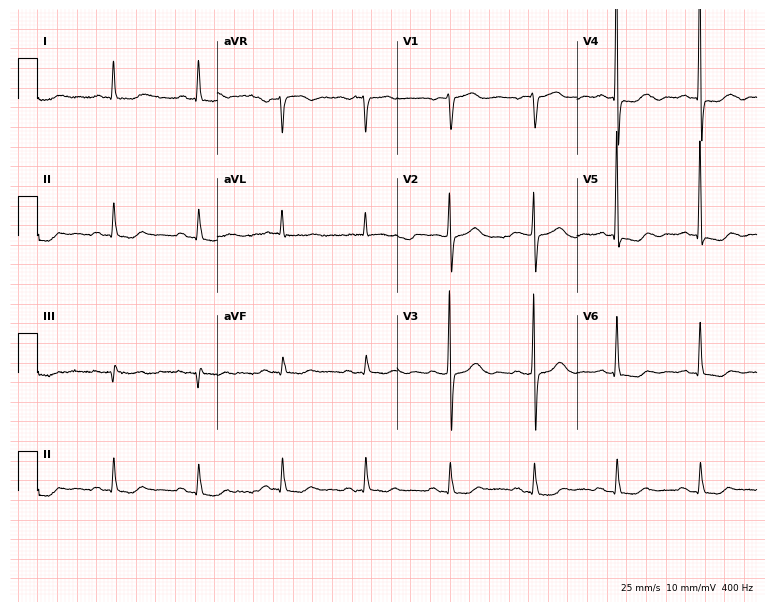
Resting 12-lead electrocardiogram. Patient: a female, 77 years old. None of these six findings is recorded: first-degree AV block, right bundle branch block, left bundle branch block, sinus bradycardia, atrial fibrillation, sinus tachycardia.